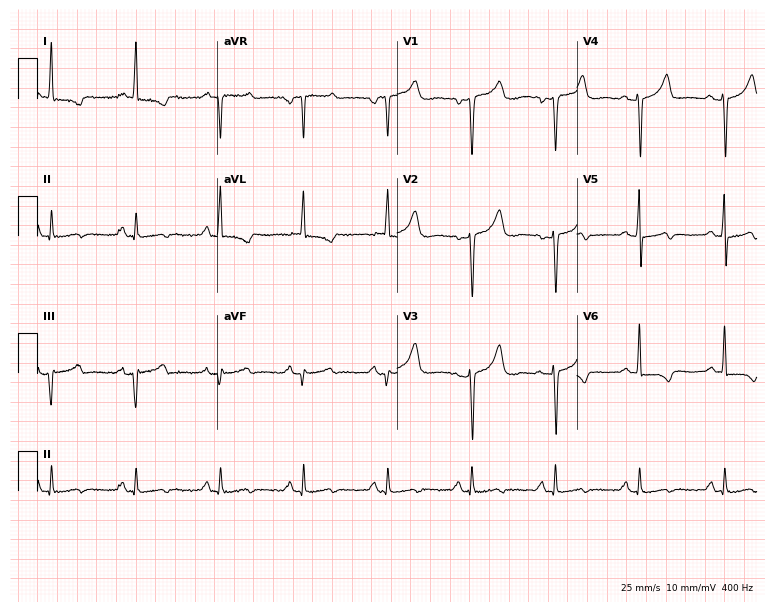
Standard 12-lead ECG recorded from a female patient, 56 years old. None of these six findings is recorded: first-degree AV block, right bundle branch block, left bundle branch block, sinus bradycardia, atrial fibrillation, sinus tachycardia. Only these six findings were labelled.